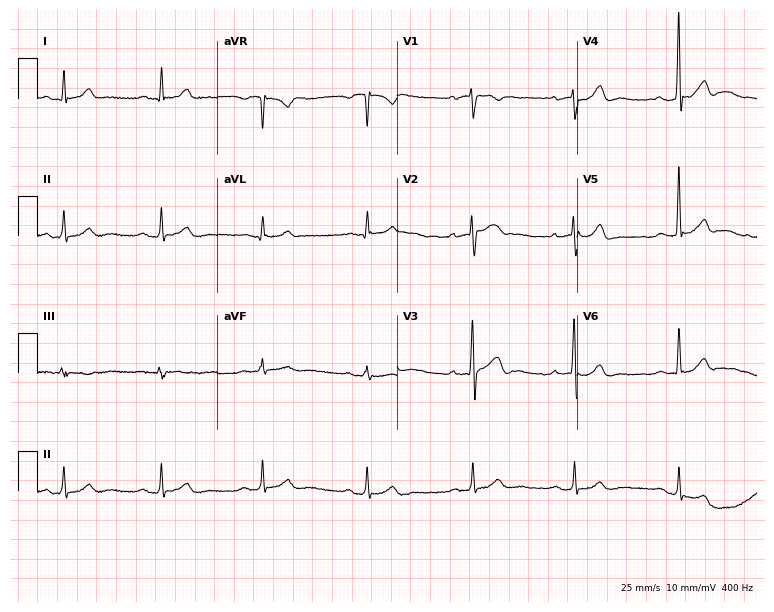
12-lead ECG from a 50-year-old male patient (7.3-second recording at 400 Hz). Recorded interpretation: within normal limits.